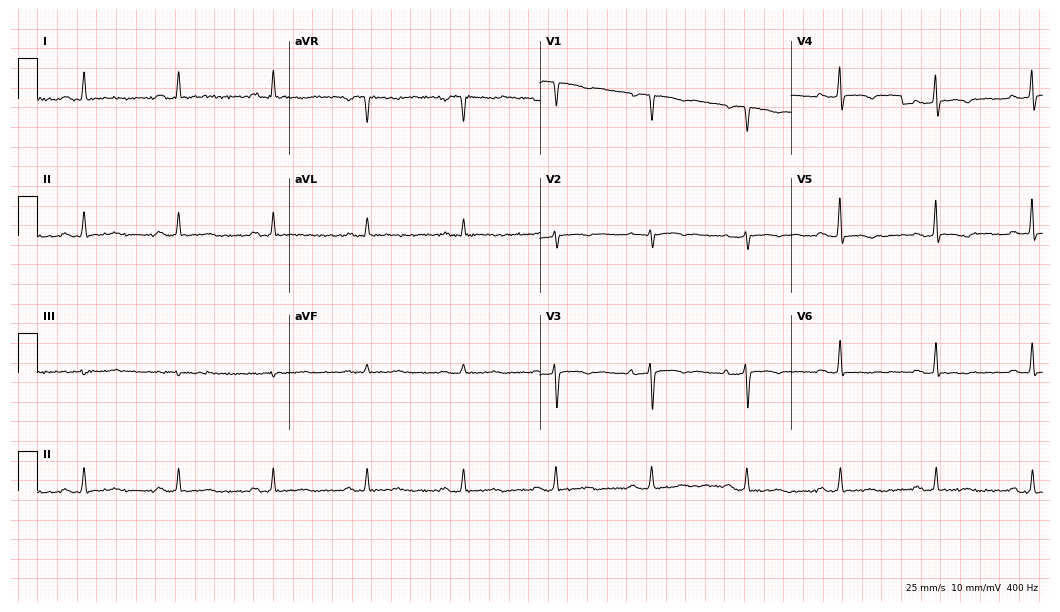
Electrocardiogram, a 51-year-old female. Of the six screened findings (first-degree AV block, right bundle branch block, left bundle branch block, sinus bradycardia, atrial fibrillation, sinus tachycardia), none is recorded.